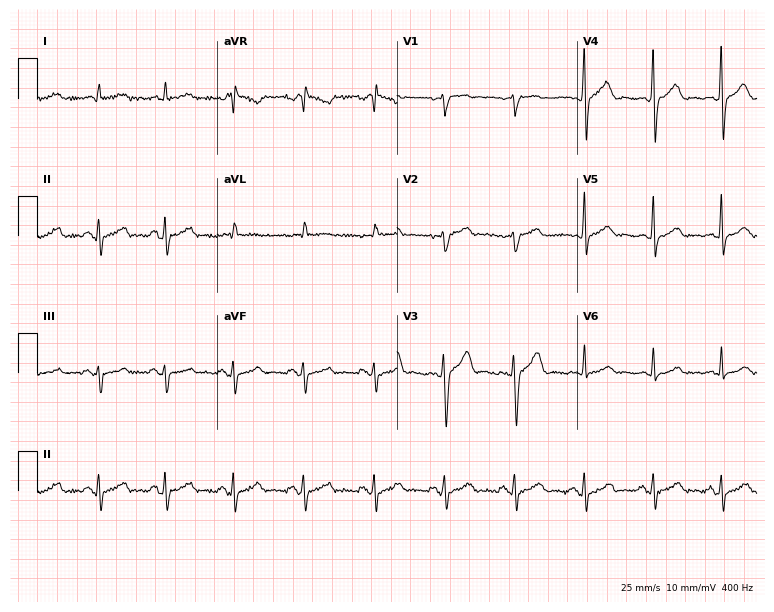
Resting 12-lead electrocardiogram. Patient: a 37-year-old male. None of these six findings is recorded: first-degree AV block, right bundle branch block, left bundle branch block, sinus bradycardia, atrial fibrillation, sinus tachycardia. Other findings, if any, are not listed.